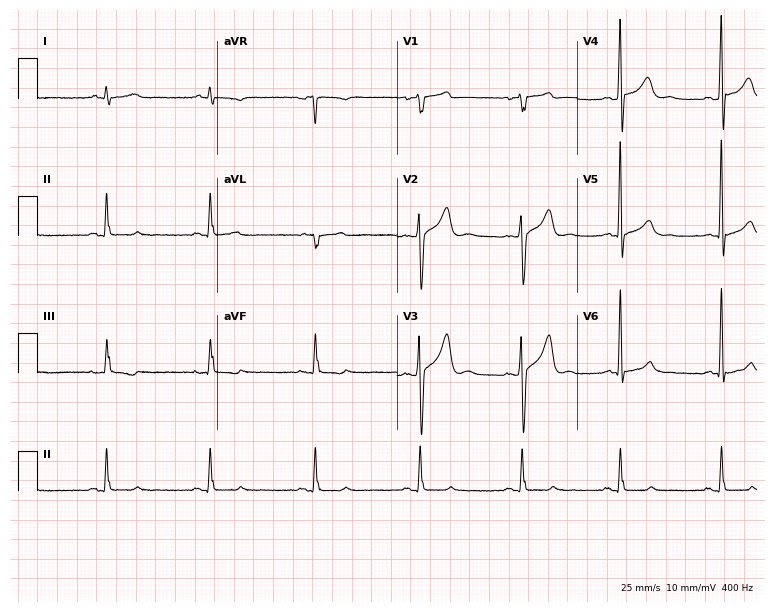
Standard 12-lead ECG recorded from a 30-year-old male (7.3-second recording at 400 Hz). None of these six findings is recorded: first-degree AV block, right bundle branch block (RBBB), left bundle branch block (LBBB), sinus bradycardia, atrial fibrillation (AF), sinus tachycardia. Other findings, if any, are not listed.